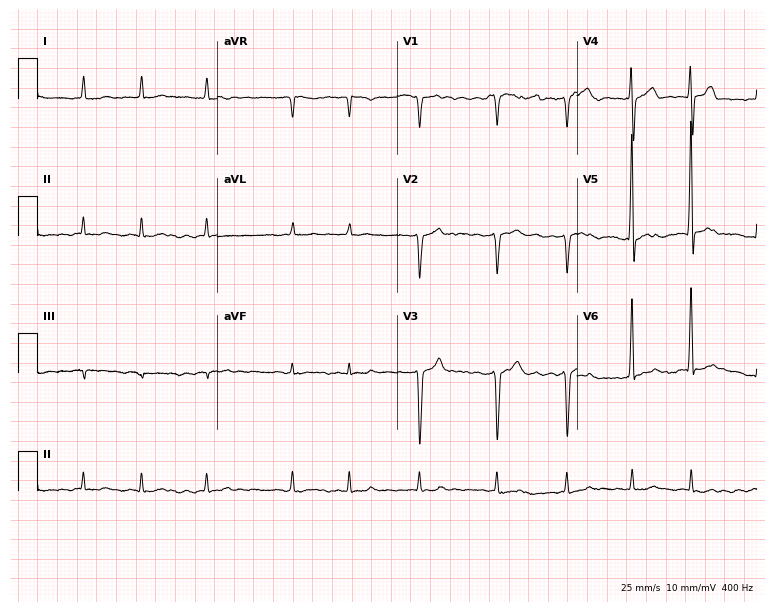
Resting 12-lead electrocardiogram (7.3-second recording at 400 Hz). Patient: a 79-year-old male. The tracing shows atrial fibrillation.